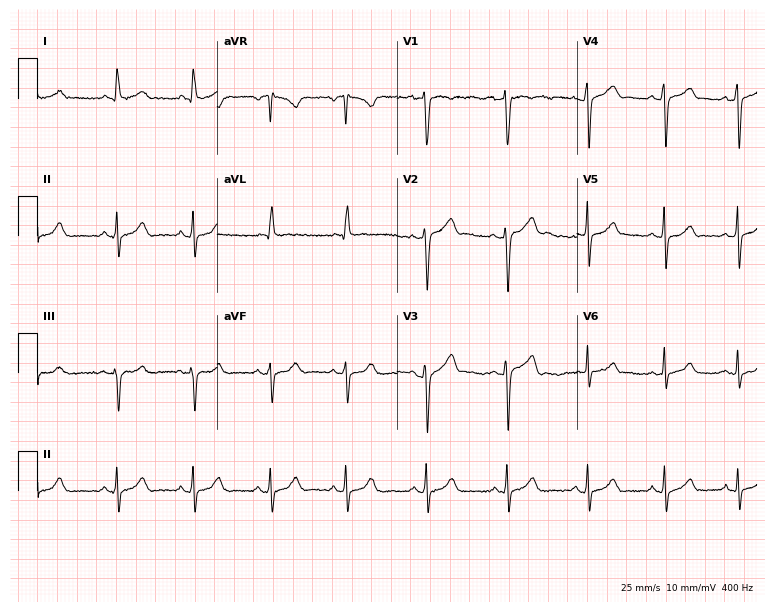
ECG (7.3-second recording at 400 Hz) — a 27-year-old woman. Labelled as a normal ECG.